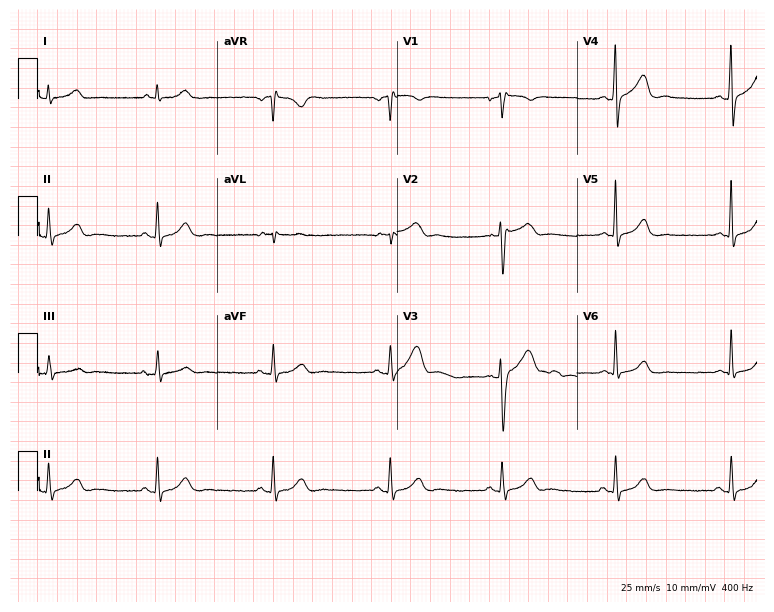
Resting 12-lead electrocardiogram. Patient: a male, 44 years old. Read as a normal ECG.